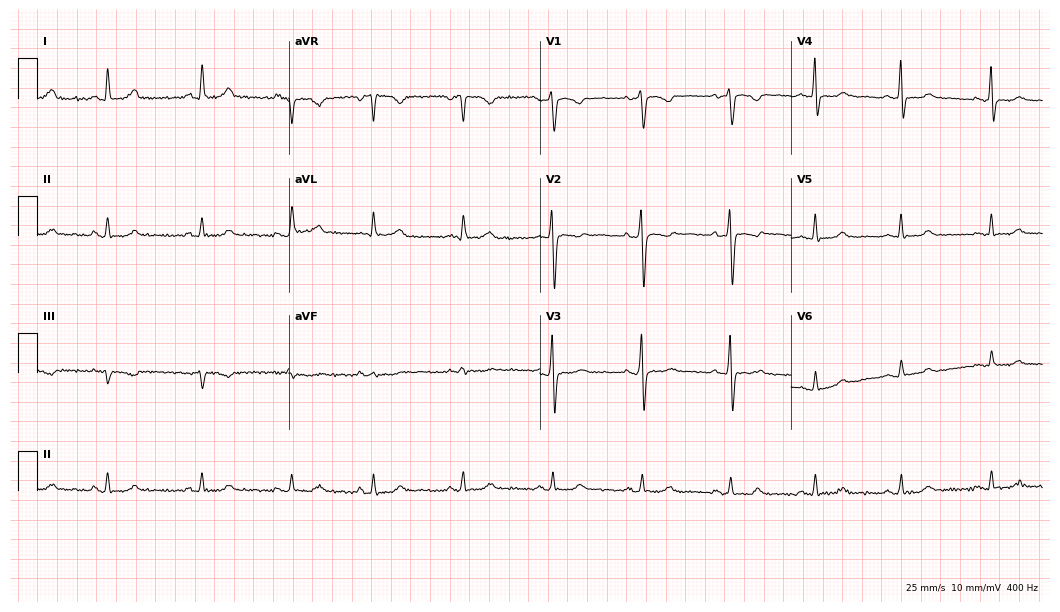
ECG (10.2-second recording at 400 Hz) — a 59-year-old female. Screened for six findings — first-degree AV block, right bundle branch block, left bundle branch block, sinus bradycardia, atrial fibrillation, sinus tachycardia — none is recorded.